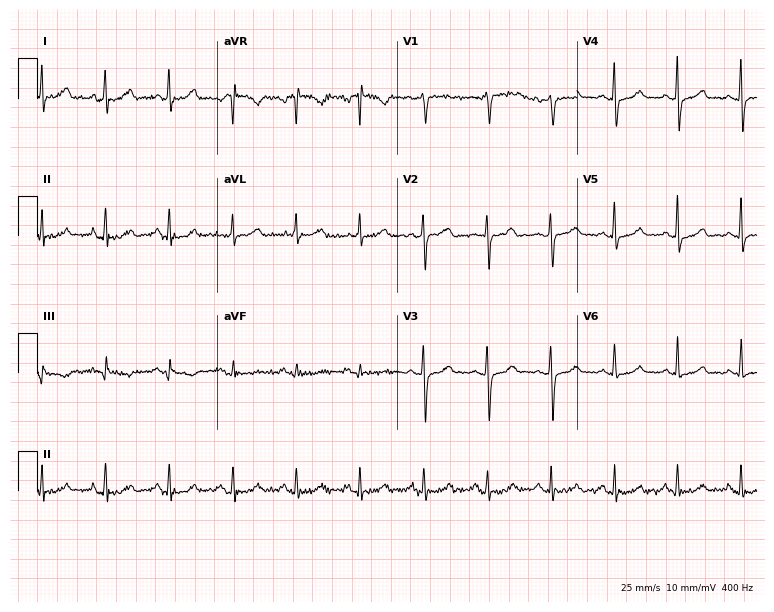
Standard 12-lead ECG recorded from a 52-year-old female patient. Read as a normal ECG.